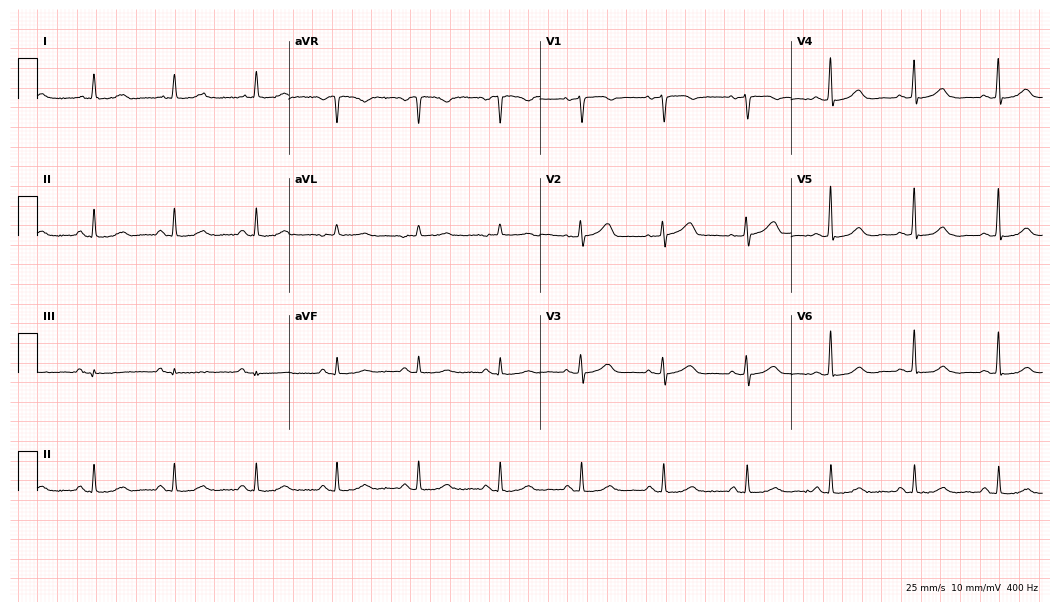
Standard 12-lead ECG recorded from a 67-year-old man. Read as a normal ECG.